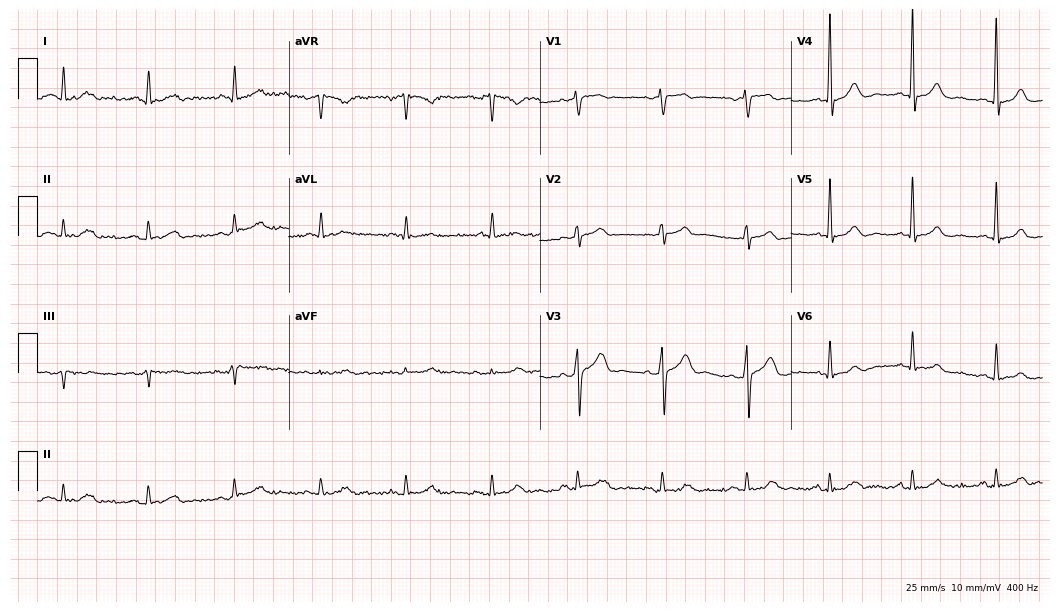
12-lead ECG from a female, 71 years old (10.2-second recording at 400 Hz). Recorded interpretation: within normal limits.